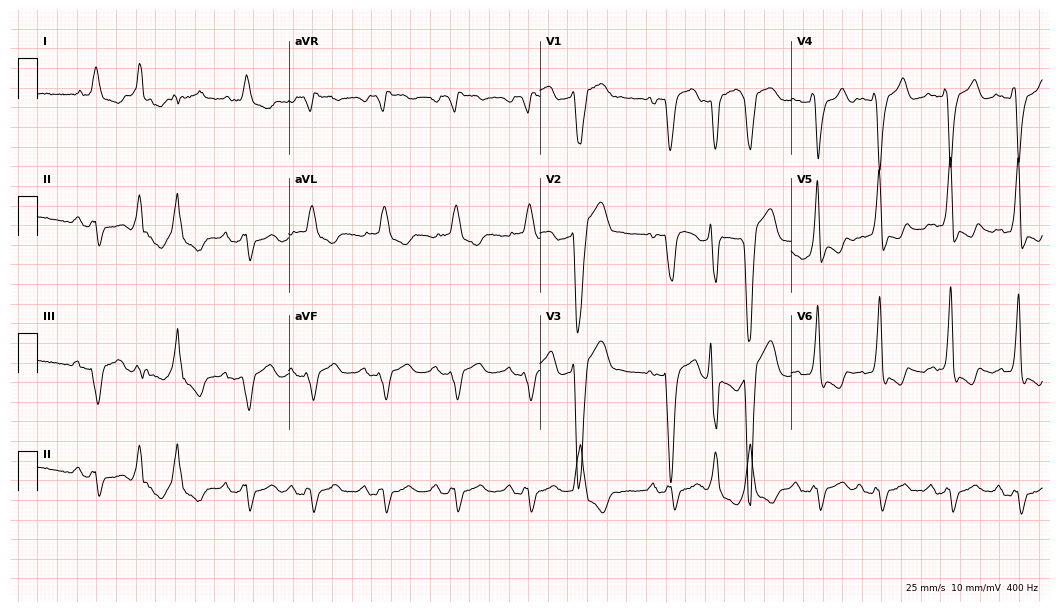
Standard 12-lead ECG recorded from a female, 82 years old. The tracing shows left bundle branch block.